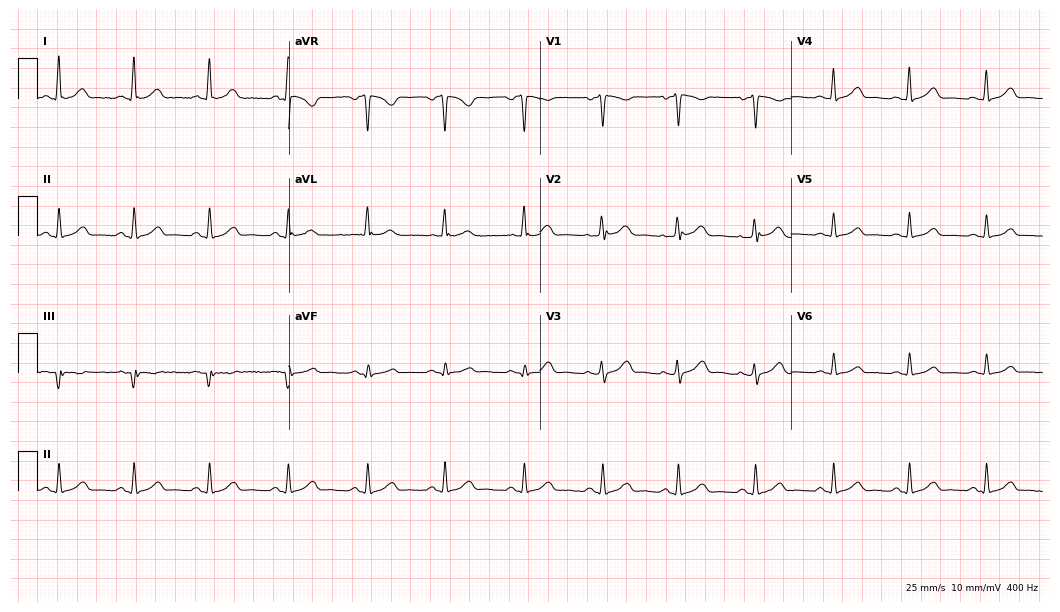
12-lead ECG from a 40-year-old woman (10.2-second recording at 400 Hz). Recorded interpretation: within normal limits.